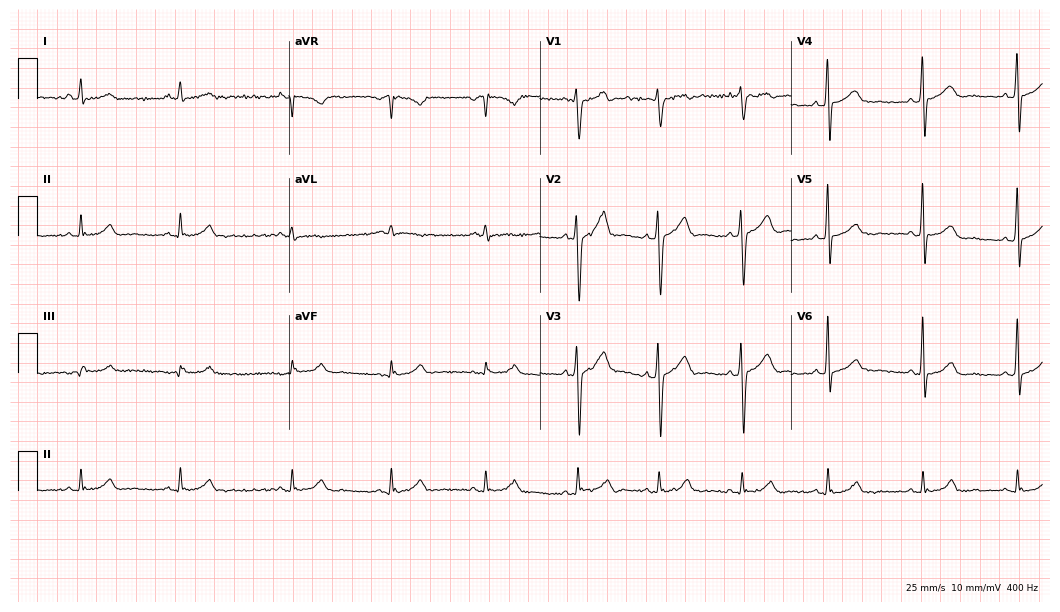
ECG (10.2-second recording at 400 Hz) — a 36-year-old male. Labelled as a normal ECG.